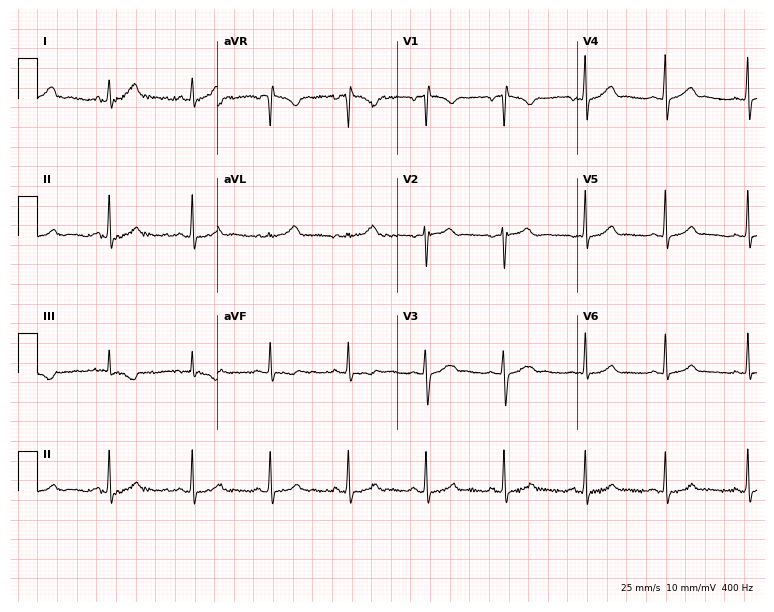
Standard 12-lead ECG recorded from a female, 29 years old (7.3-second recording at 400 Hz). Read as a normal ECG.